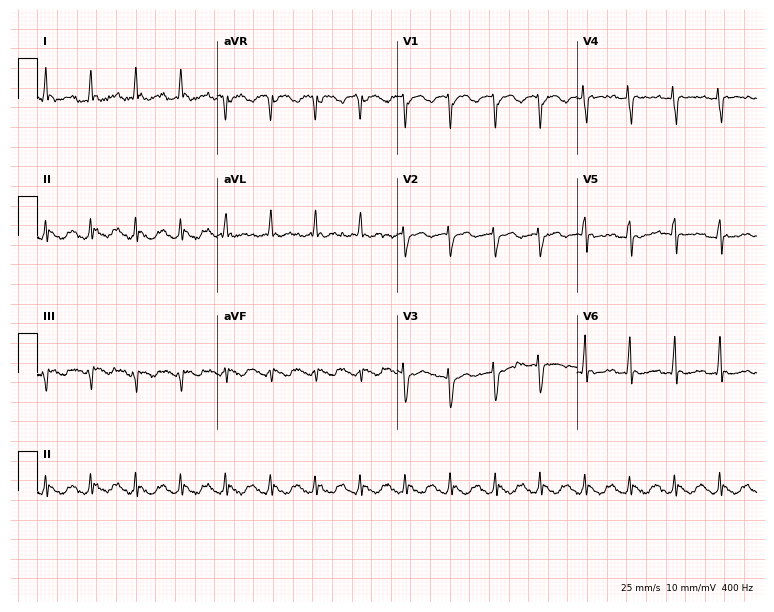
12-lead ECG from a female patient, 68 years old. No first-degree AV block, right bundle branch block, left bundle branch block, sinus bradycardia, atrial fibrillation or sinus tachycardia recorded for this tracing.